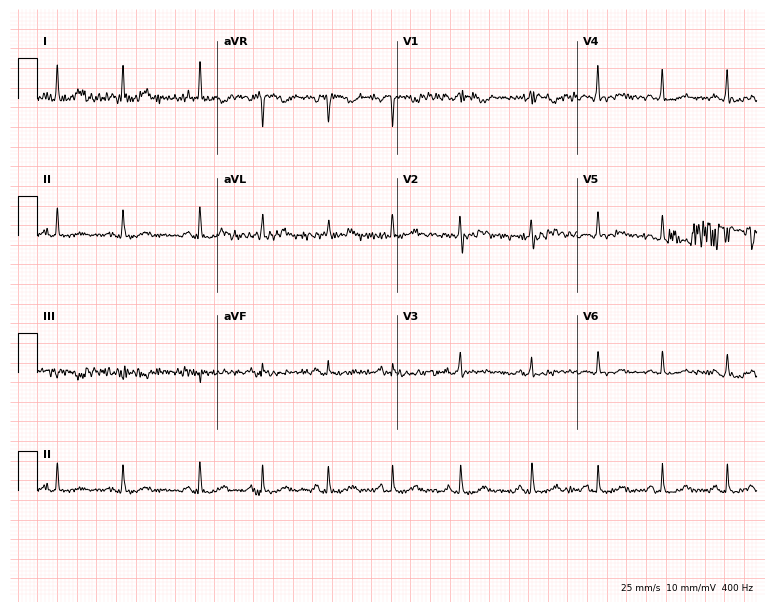
ECG (7.3-second recording at 400 Hz) — a 32-year-old woman. Labelled as a normal ECG.